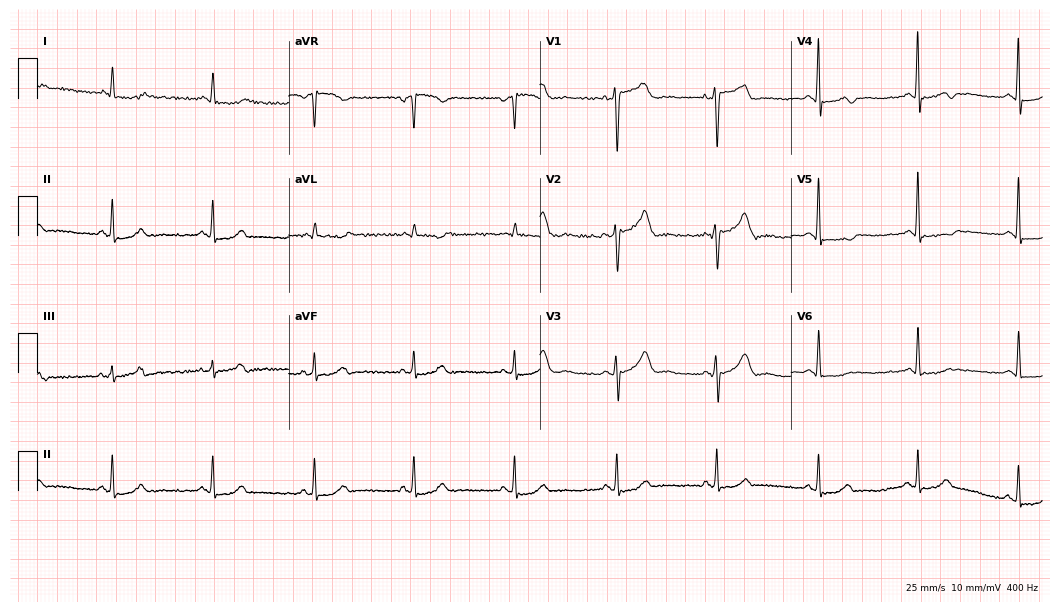
Electrocardiogram (10.2-second recording at 400 Hz), a female patient, 57 years old. Of the six screened findings (first-degree AV block, right bundle branch block, left bundle branch block, sinus bradycardia, atrial fibrillation, sinus tachycardia), none is recorded. Only these six findings were labelled.